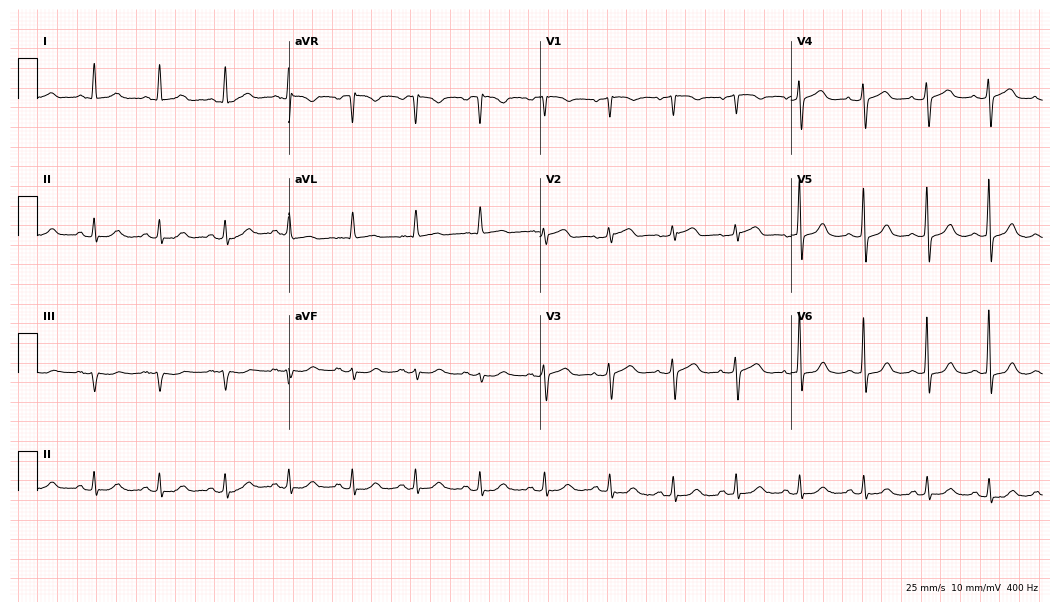
12-lead ECG from a 72-year-old female. Recorded interpretation: within normal limits.